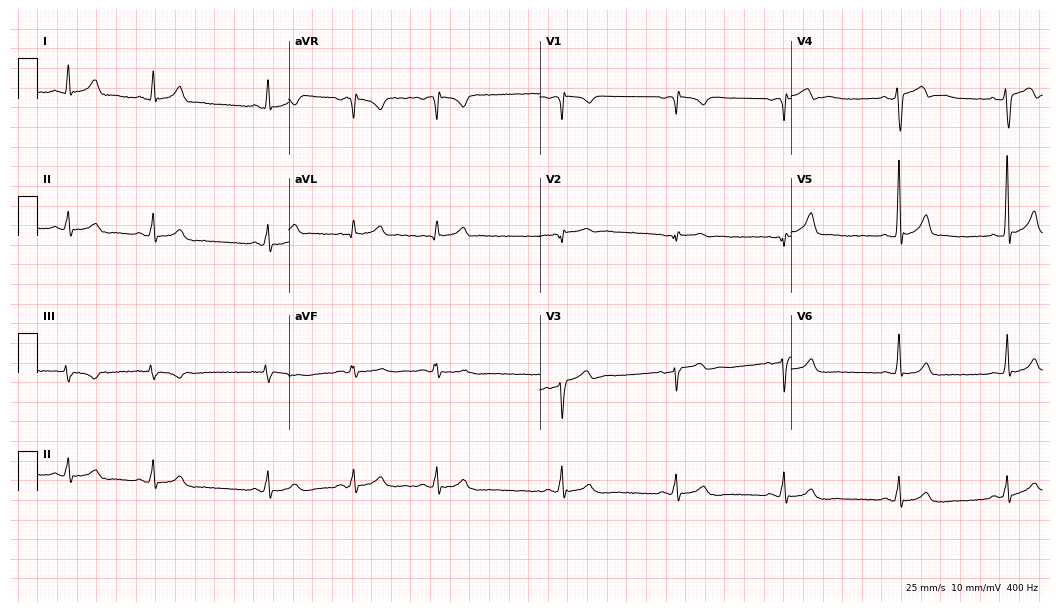
Electrocardiogram (10.2-second recording at 400 Hz), a 27-year-old male patient. Of the six screened findings (first-degree AV block, right bundle branch block, left bundle branch block, sinus bradycardia, atrial fibrillation, sinus tachycardia), none is recorded. Other findings, if any, are not listed.